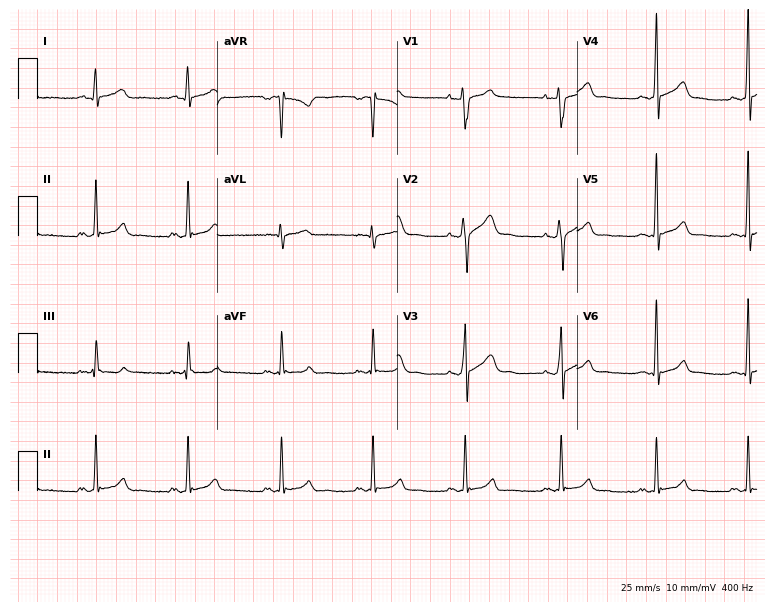
ECG (7.3-second recording at 400 Hz) — a 25-year-old male. Labelled as a normal ECG.